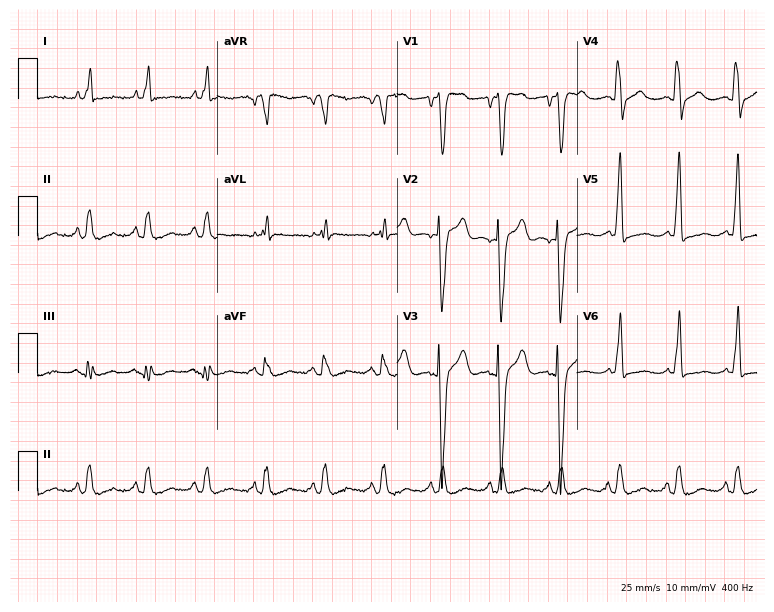
ECG (7.3-second recording at 400 Hz) — a man, 58 years old. Screened for six findings — first-degree AV block, right bundle branch block, left bundle branch block, sinus bradycardia, atrial fibrillation, sinus tachycardia — none is recorded. Only these six findings were labelled.